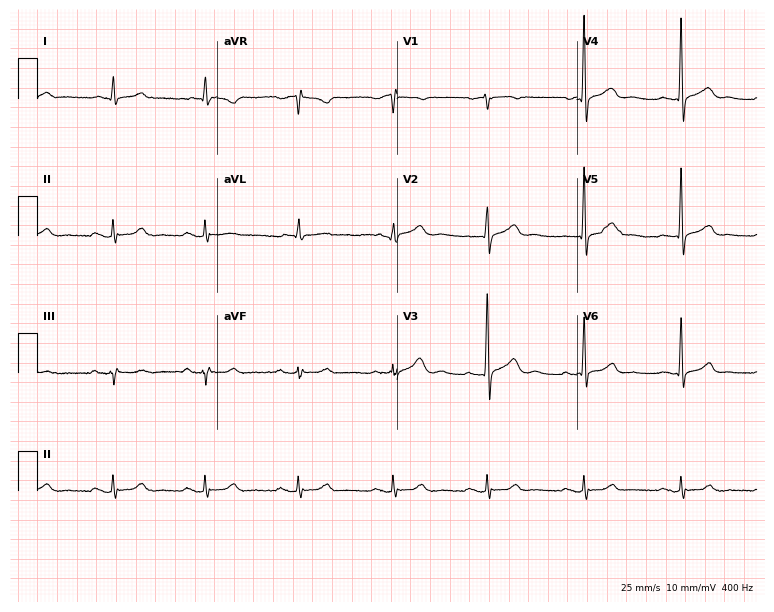
ECG — a 75-year-old male patient. Labelled as a normal ECG.